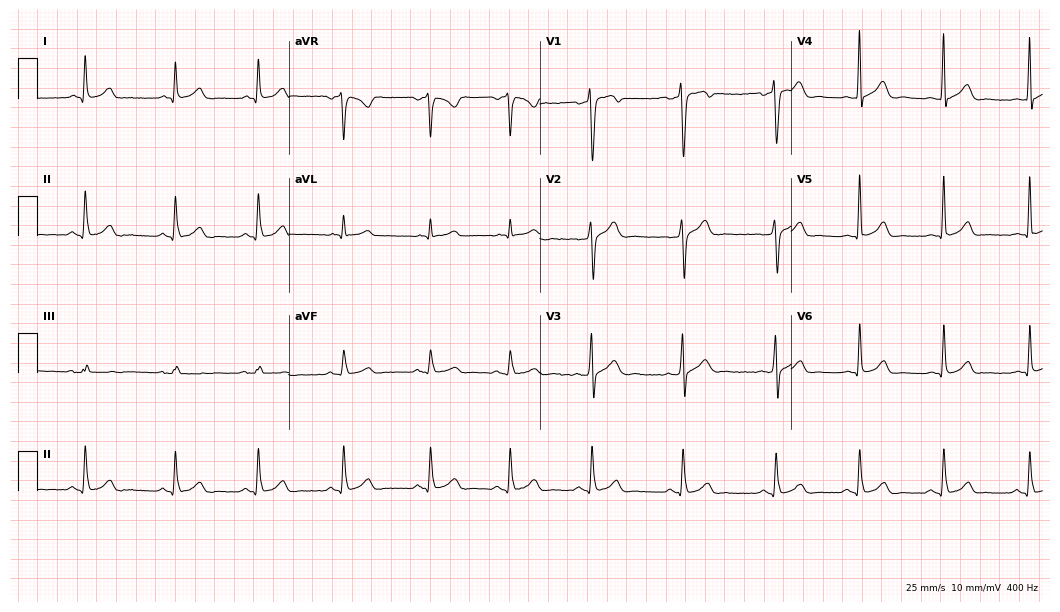
Resting 12-lead electrocardiogram (10.2-second recording at 400 Hz). Patient: a man, 43 years old. Read as a normal ECG.